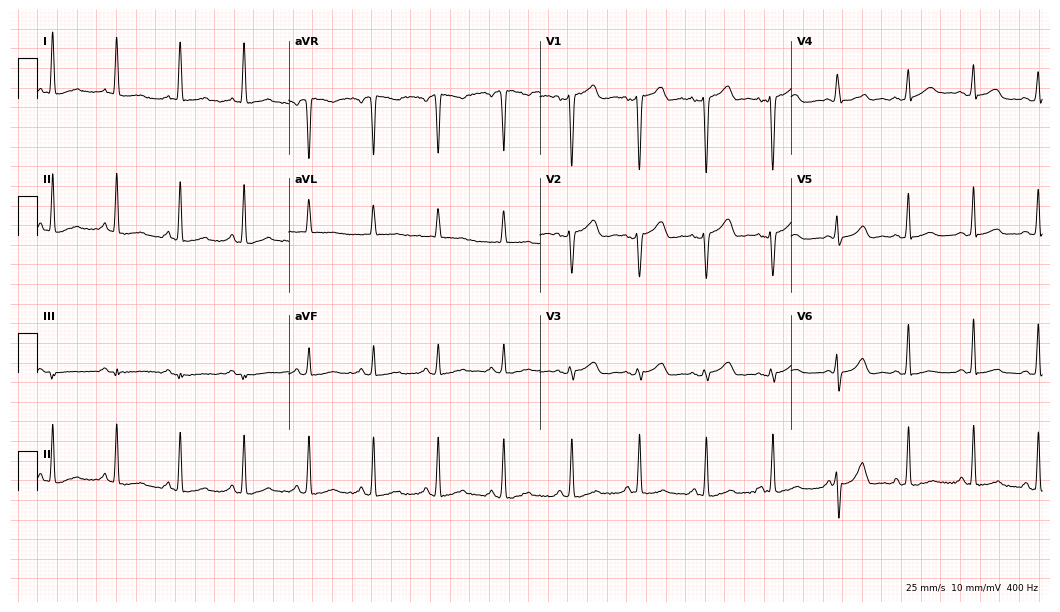
Standard 12-lead ECG recorded from a 48-year-old female (10.2-second recording at 400 Hz). None of these six findings is recorded: first-degree AV block, right bundle branch block, left bundle branch block, sinus bradycardia, atrial fibrillation, sinus tachycardia. Only these six findings were labelled.